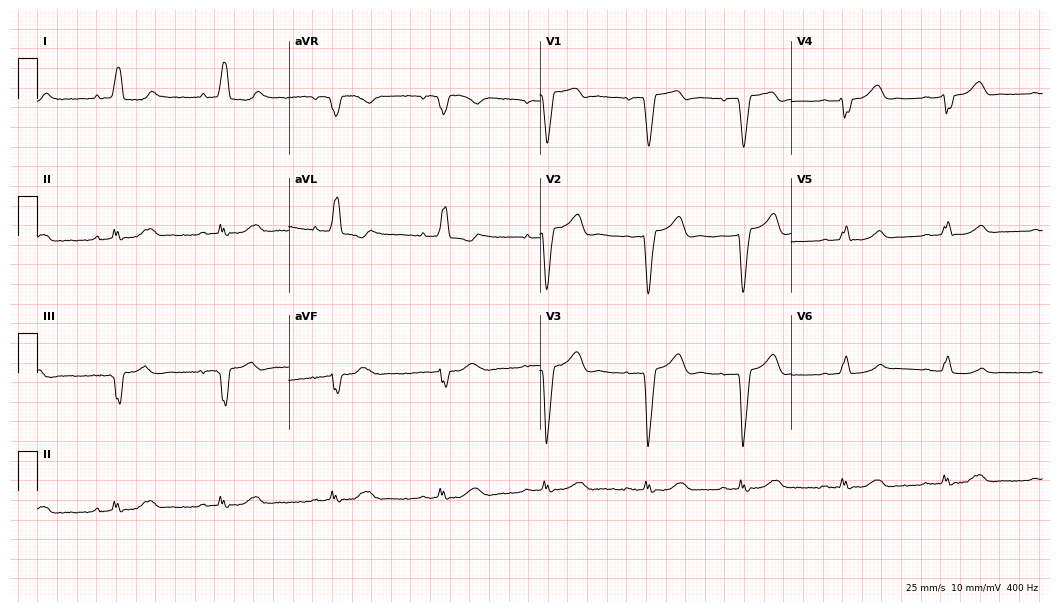
ECG (10.2-second recording at 400 Hz) — a female, 72 years old. Screened for six findings — first-degree AV block, right bundle branch block, left bundle branch block, sinus bradycardia, atrial fibrillation, sinus tachycardia — none is recorded. Other findings, if any, are not listed.